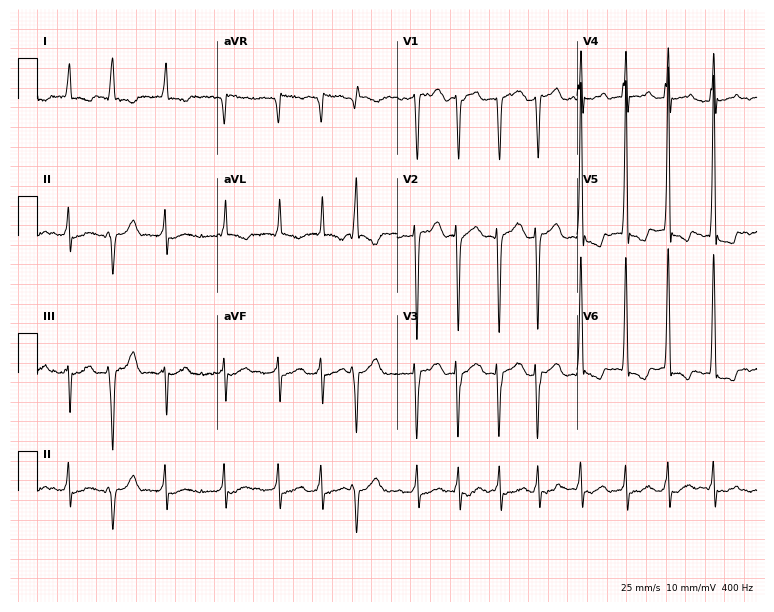
Resting 12-lead electrocardiogram. Patient: a male, 79 years old. The tracing shows atrial fibrillation.